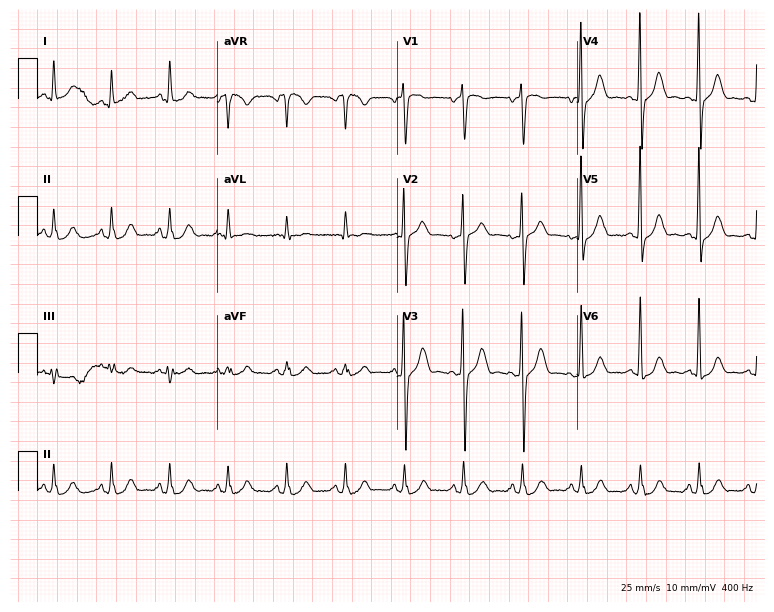
ECG (7.3-second recording at 400 Hz) — a male, 72 years old. Labelled as a normal ECG.